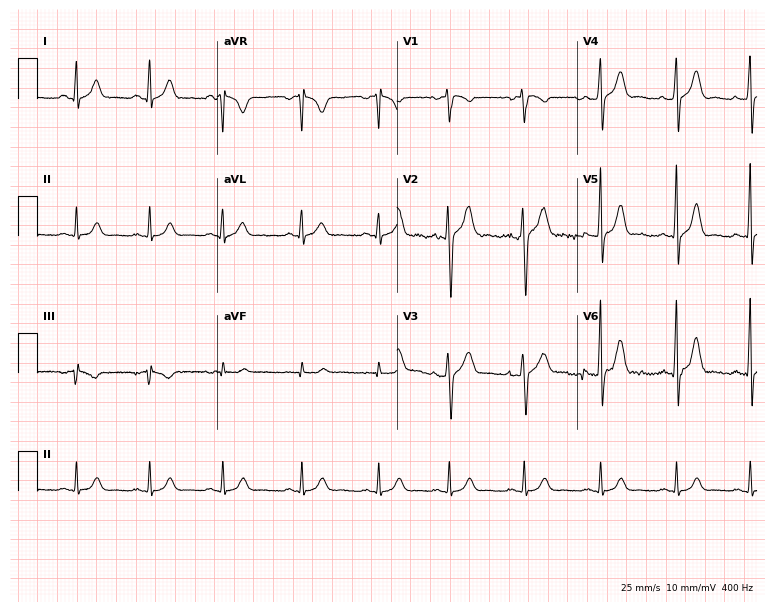
Standard 12-lead ECG recorded from a 36-year-old male patient (7.3-second recording at 400 Hz). Read as a normal ECG.